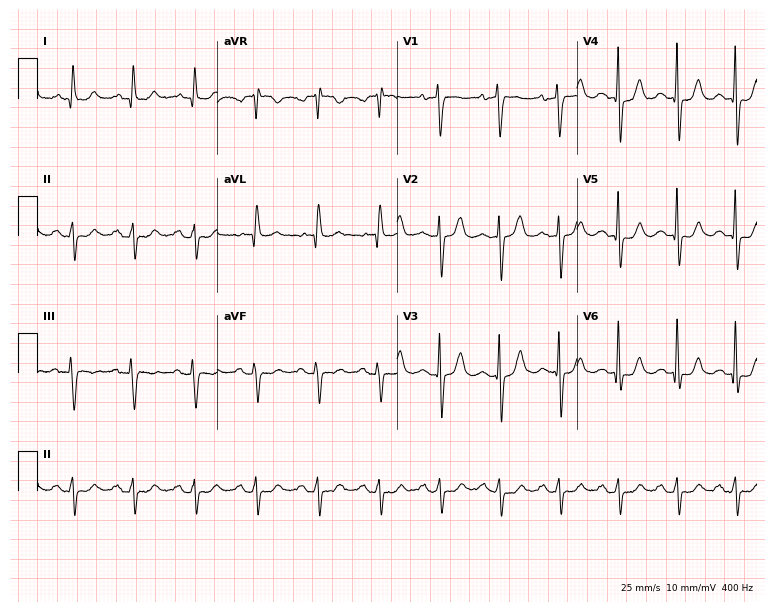
12-lead ECG from a 67-year-old male (7.3-second recording at 400 Hz). No first-degree AV block, right bundle branch block, left bundle branch block, sinus bradycardia, atrial fibrillation or sinus tachycardia recorded for this tracing.